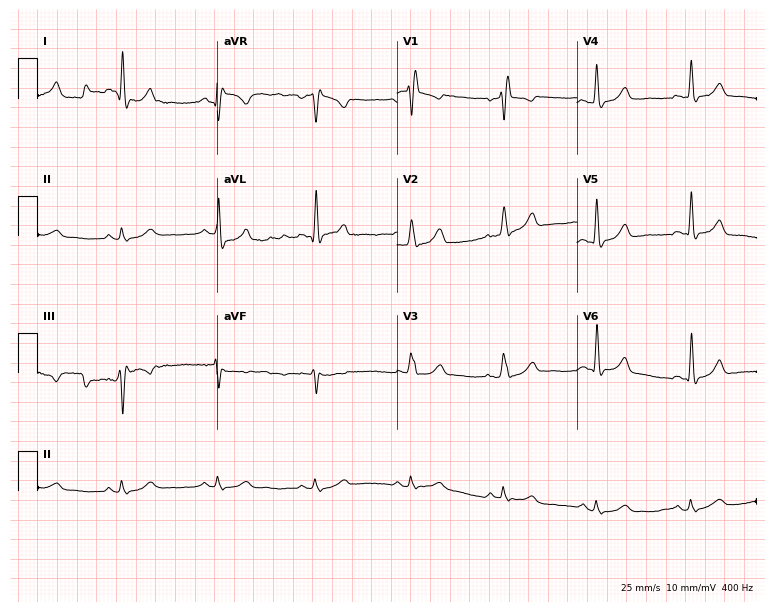
12-lead ECG (7.3-second recording at 400 Hz) from a woman, 81 years old. Findings include right bundle branch block.